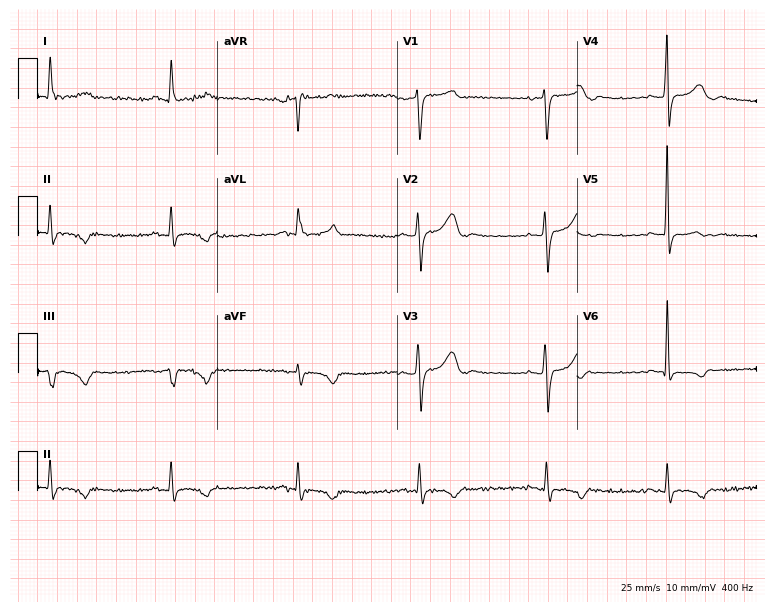
ECG (7.3-second recording at 400 Hz) — a 51-year-old female patient. Screened for six findings — first-degree AV block, right bundle branch block, left bundle branch block, sinus bradycardia, atrial fibrillation, sinus tachycardia — none is recorded.